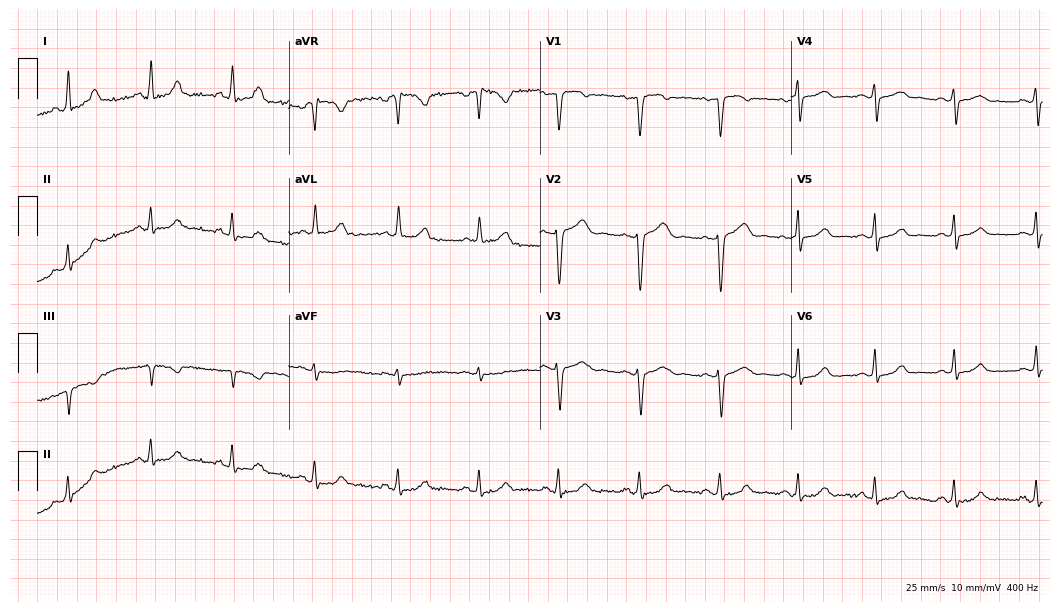
Standard 12-lead ECG recorded from a female patient, 39 years old. Read as a normal ECG.